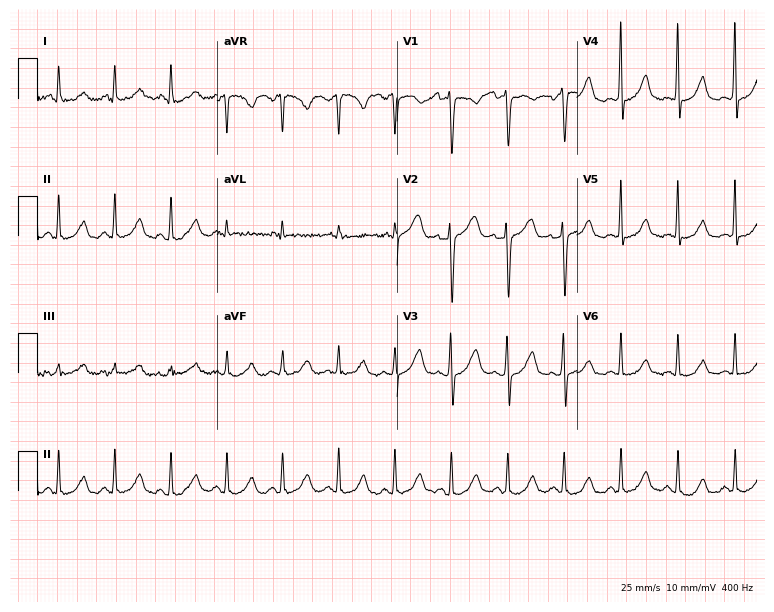
Resting 12-lead electrocardiogram (7.3-second recording at 400 Hz). Patient: a 29-year-old female. The tracing shows sinus tachycardia (a sinus rate of 100 beats per minute or more).